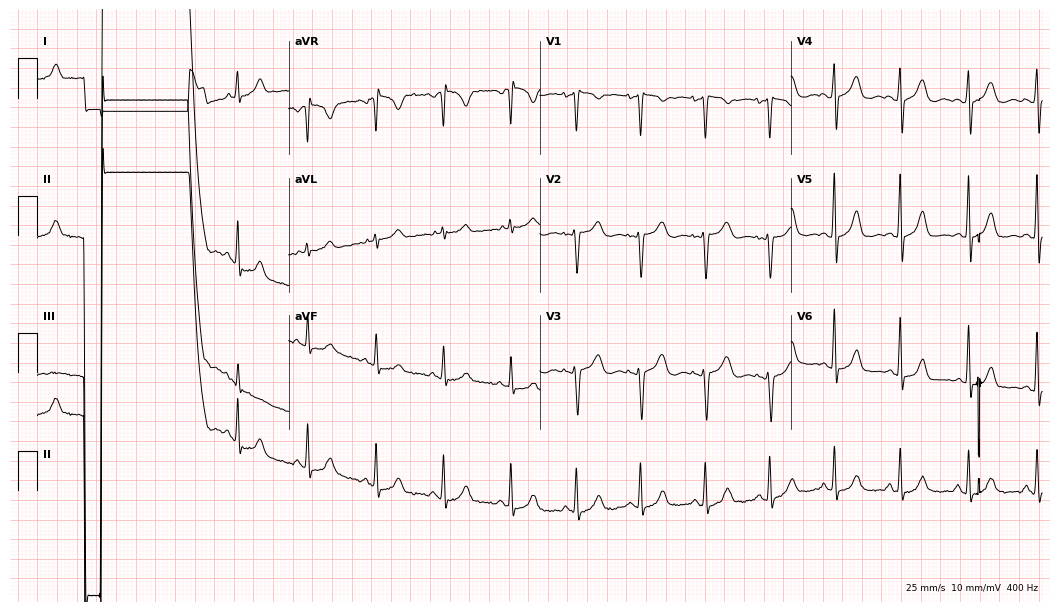
Standard 12-lead ECG recorded from a 37-year-old female. Read as a normal ECG.